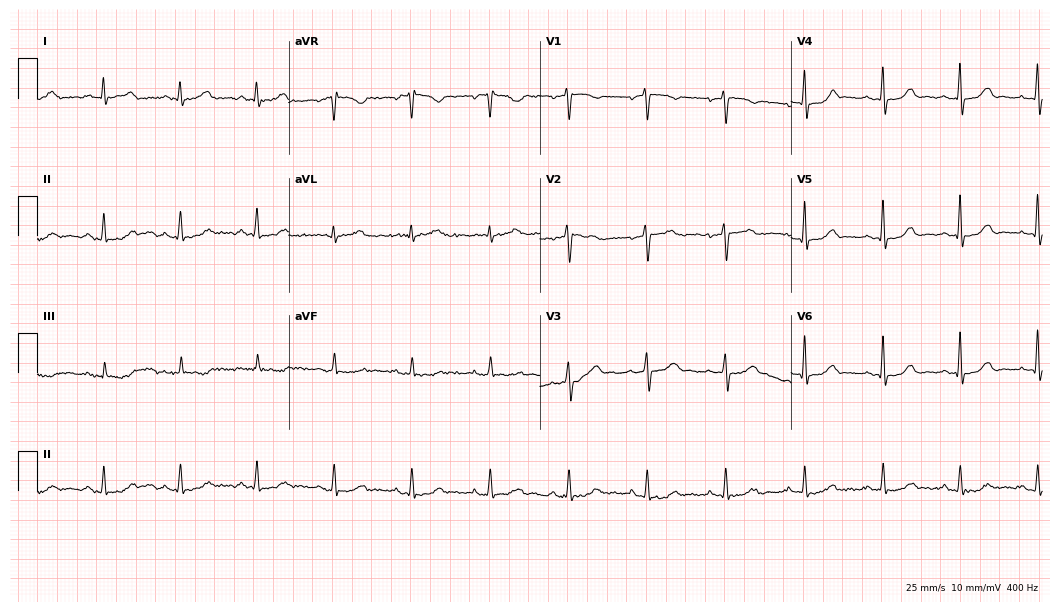
Standard 12-lead ECG recorded from a female, 44 years old. Read as a normal ECG.